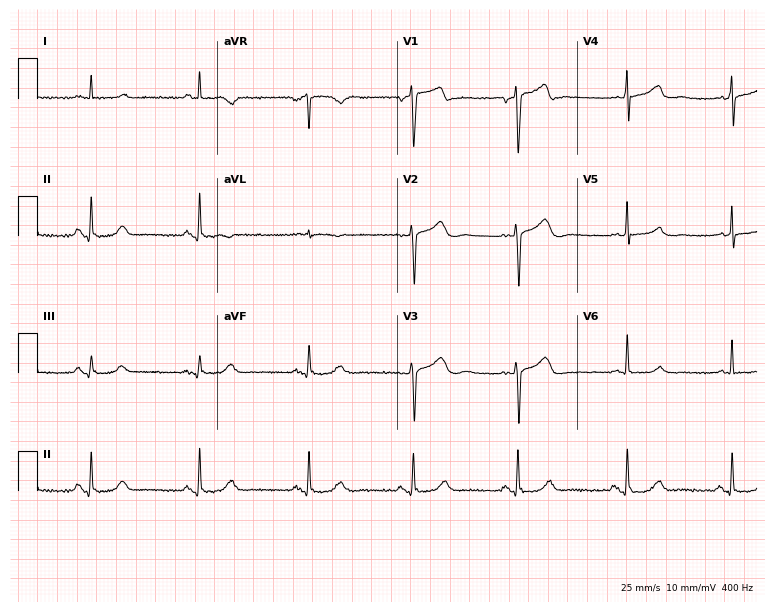
12-lead ECG from a 60-year-old male (7.3-second recording at 400 Hz). Recorded interpretation: within normal limits.